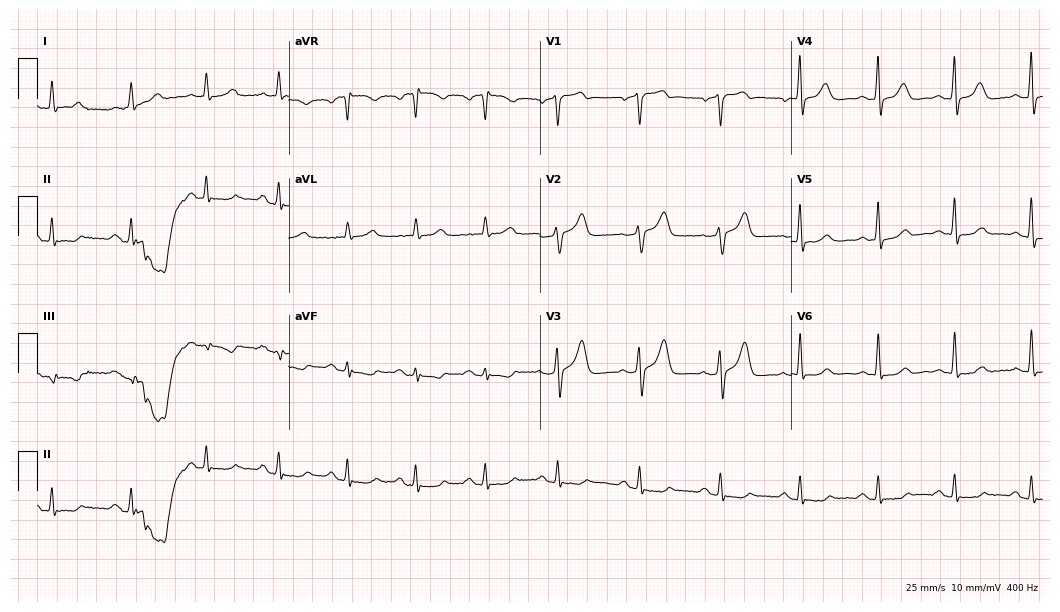
Standard 12-lead ECG recorded from a man, 65 years old. None of these six findings is recorded: first-degree AV block, right bundle branch block (RBBB), left bundle branch block (LBBB), sinus bradycardia, atrial fibrillation (AF), sinus tachycardia.